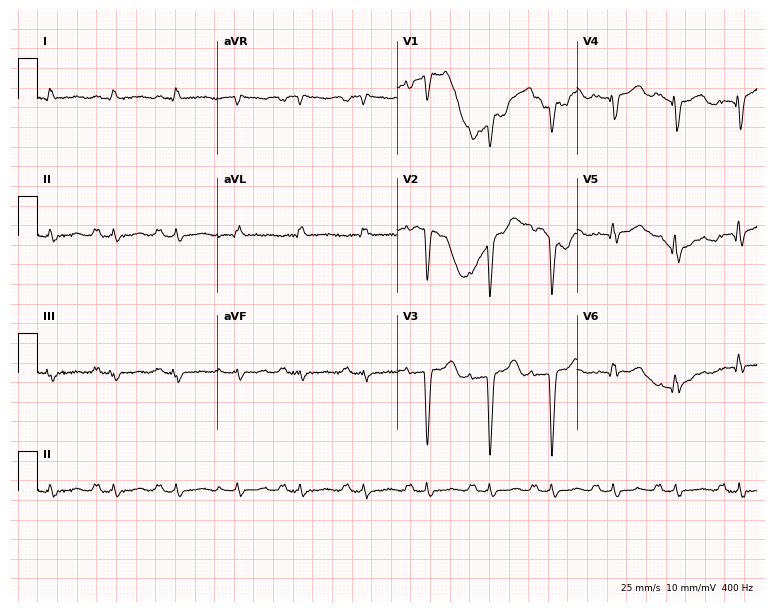
ECG — a 67-year-old man. Screened for six findings — first-degree AV block, right bundle branch block (RBBB), left bundle branch block (LBBB), sinus bradycardia, atrial fibrillation (AF), sinus tachycardia — none is recorded.